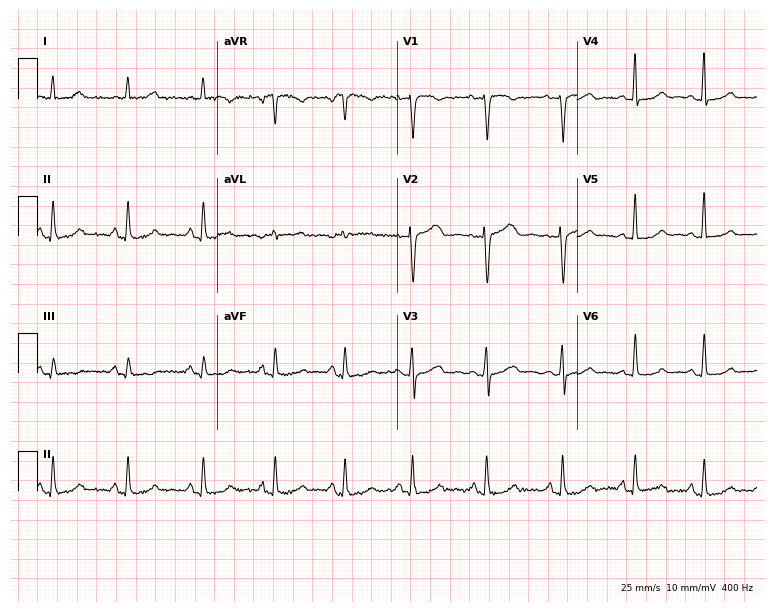
Electrocardiogram, a woman, 48 years old. Overall reading on record: normal ECG.